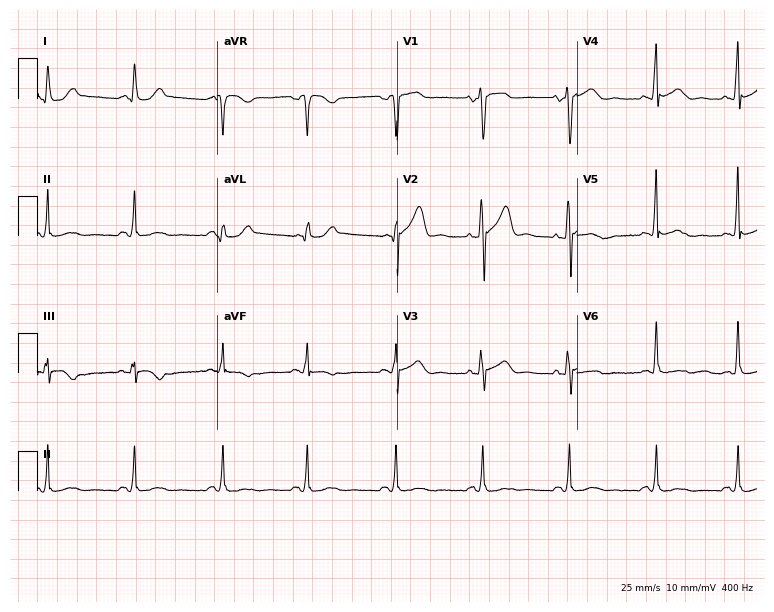
Standard 12-lead ECG recorded from a male patient, 44 years old. Read as a normal ECG.